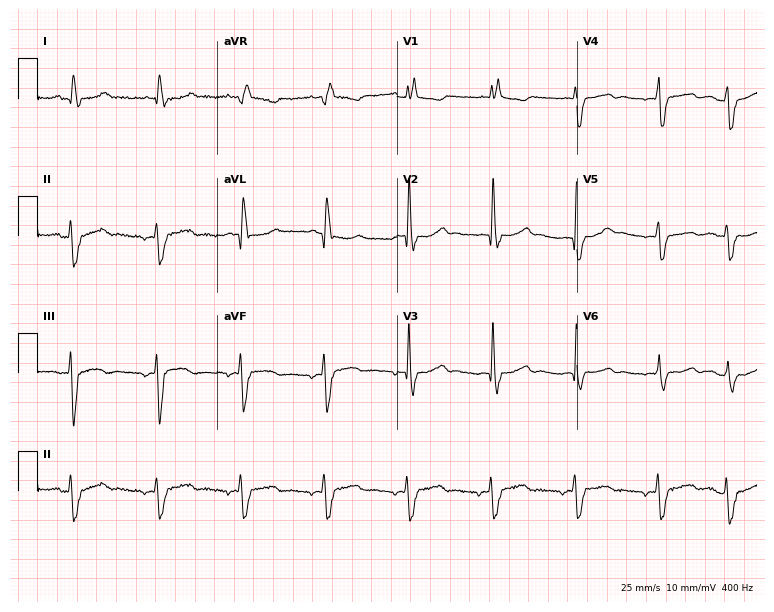
ECG (7.3-second recording at 400 Hz) — a 66-year-old female patient. Findings include right bundle branch block (RBBB).